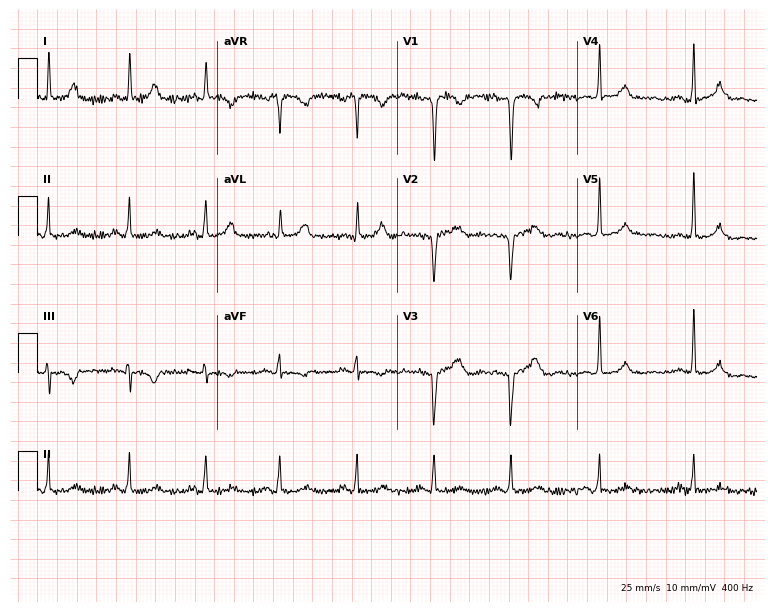
Resting 12-lead electrocardiogram. Patient: a 57-year-old female. Read as a normal ECG.